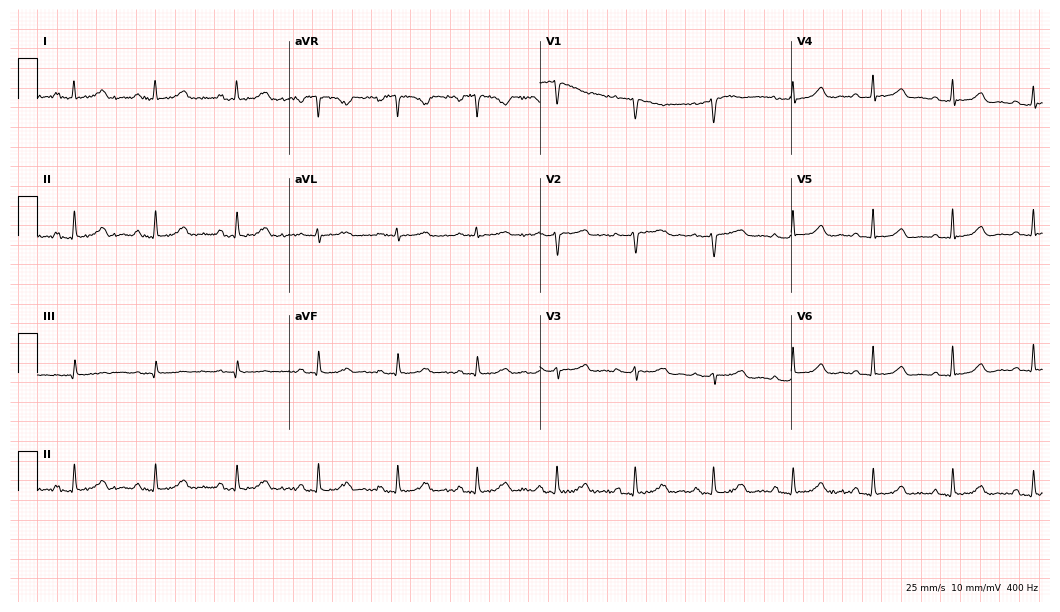
ECG (10.2-second recording at 400 Hz) — a 47-year-old woman. Screened for six findings — first-degree AV block, right bundle branch block, left bundle branch block, sinus bradycardia, atrial fibrillation, sinus tachycardia — none is recorded.